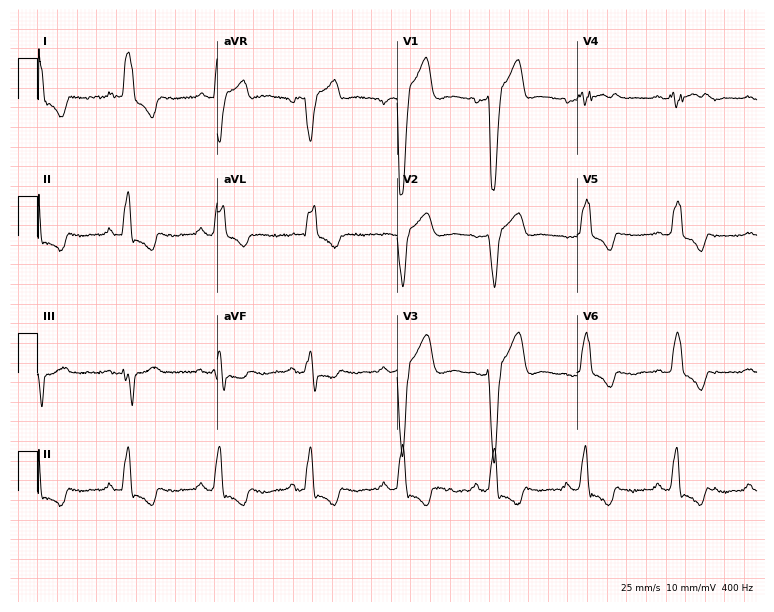
ECG (7.3-second recording at 400 Hz) — a male, 61 years old. Findings include left bundle branch block.